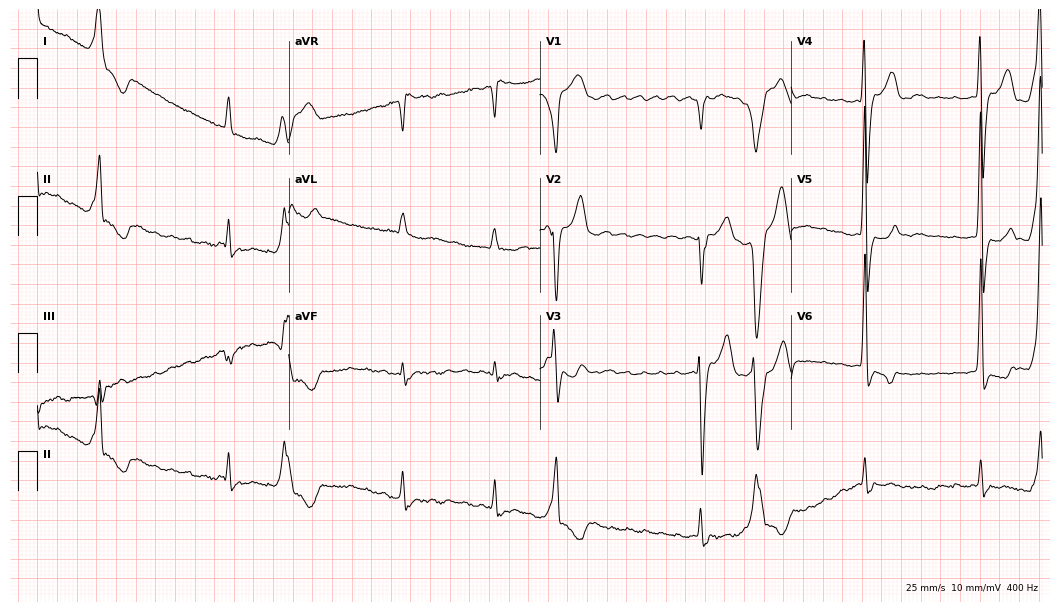
ECG — a 73-year-old male patient. Findings include atrial fibrillation (AF).